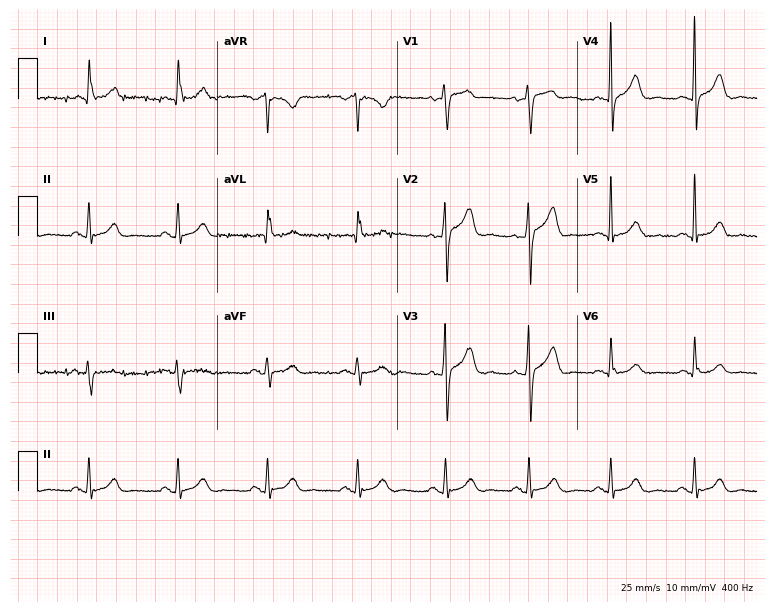
Resting 12-lead electrocardiogram (7.3-second recording at 400 Hz). Patient: a female, 66 years old. Read as a normal ECG.